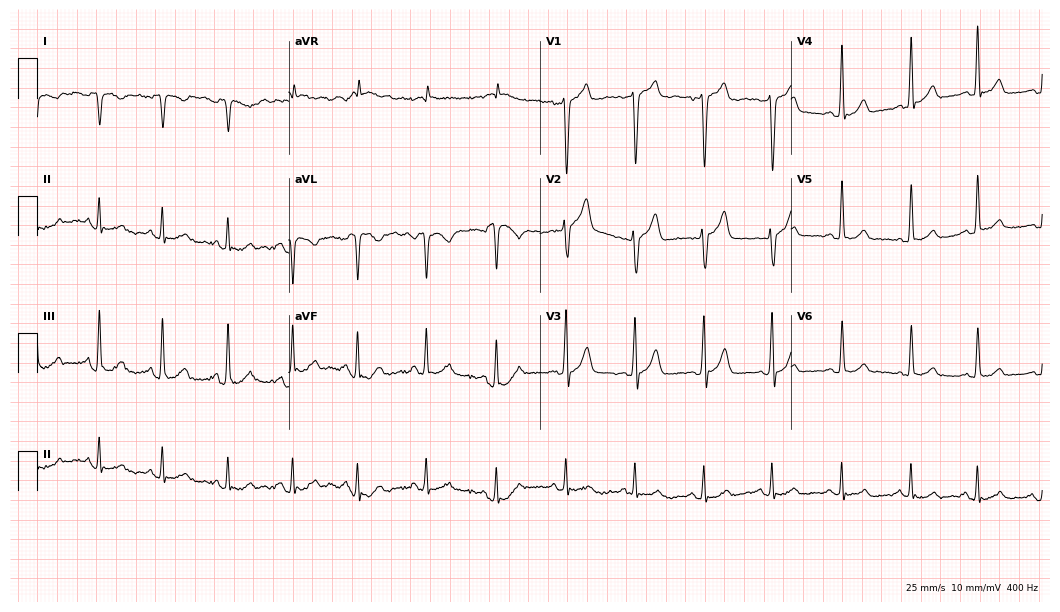
12-lead ECG from a man, 62 years old. No first-degree AV block, right bundle branch block (RBBB), left bundle branch block (LBBB), sinus bradycardia, atrial fibrillation (AF) or sinus tachycardia recorded for this tracing. Findings outside these six are not listed.